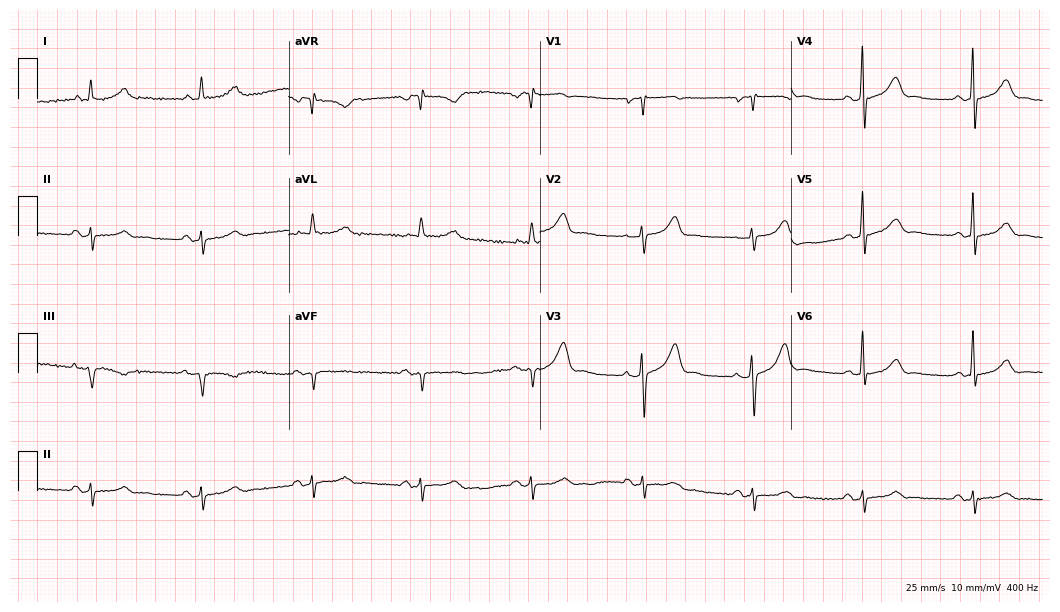
ECG (10.2-second recording at 400 Hz) — a 61-year-old female patient. Labelled as a normal ECG.